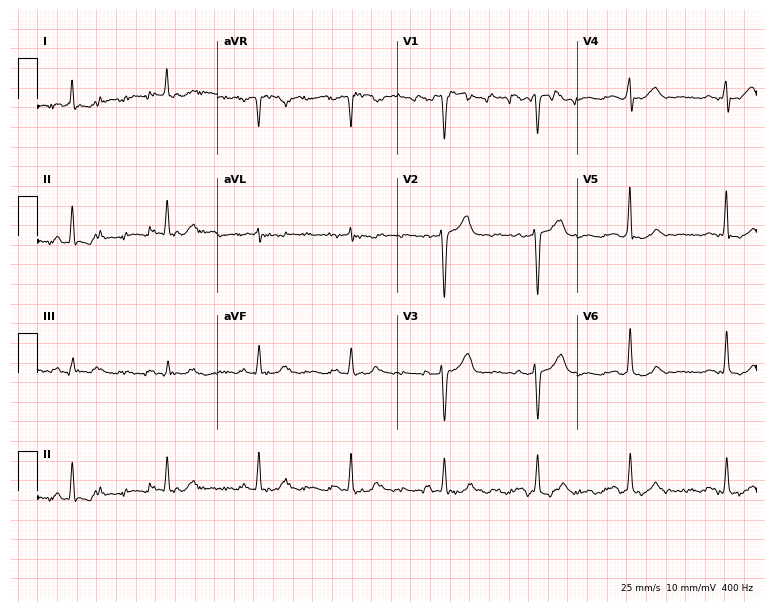
12-lead ECG (7.3-second recording at 400 Hz) from a 73-year-old woman. Screened for six findings — first-degree AV block, right bundle branch block, left bundle branch block, sinus bradycardia, atrial fibrillation, sinus tachycardia — none is recorded. Findings outside these six are not listed.